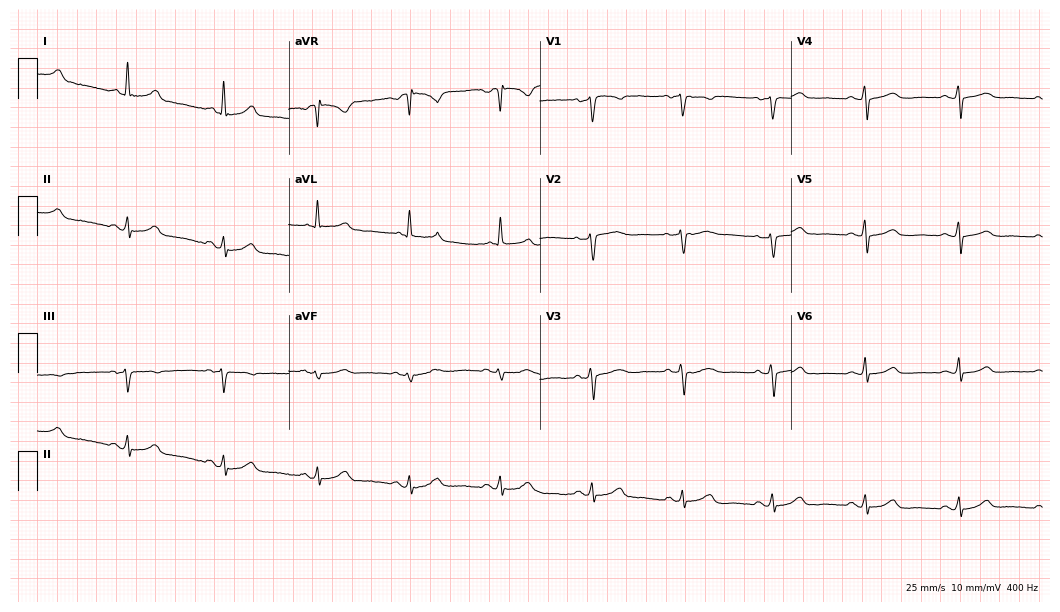
12-lead ECG (10.2-second recording at 400 Hz) from a woman, 56 years old. Screened for six findings — first-degree AV block, right bundle branch block, left bundle branch block, sinus bradycardia, atrial fibrillation, sinus tachycardia — none is recorded.